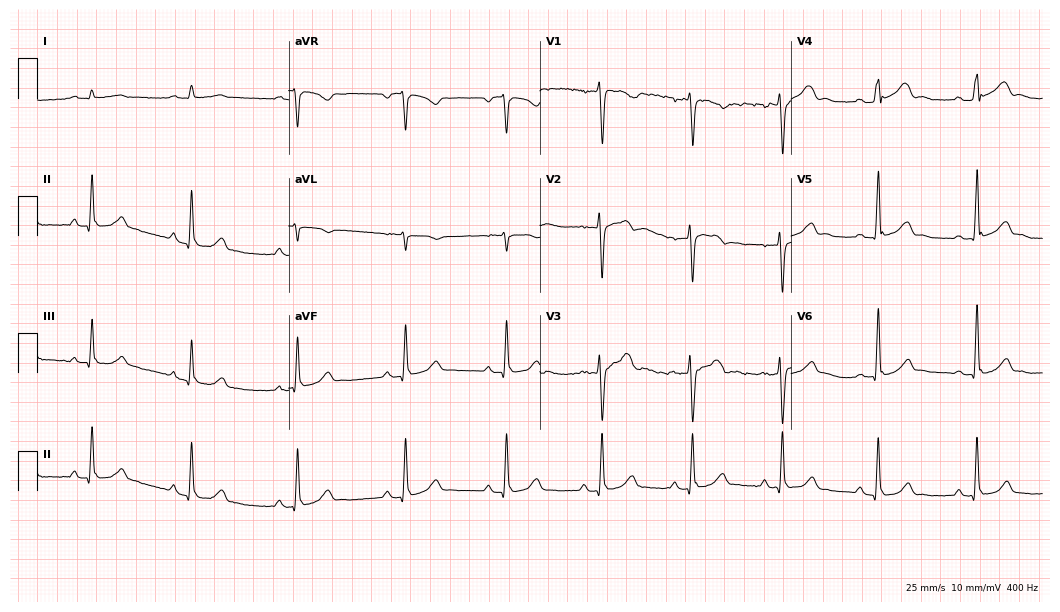
Electrocardiogram (10.2-second recording at 400 Hz), a 41-year-old man. Of the six screened findings (first-degree AV block, right bundle branch block, left bundle branch block, sinus bradycardia, atrial fibrillation, sinus tachycardia), none is recorded. Findings outside these six are not listed.